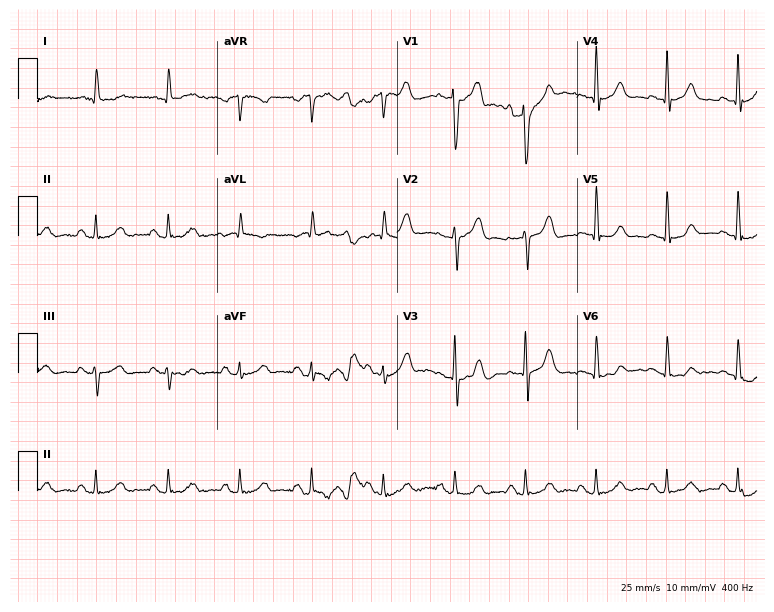
Standard 12-lead ECG recorded from an 80-year-old male (7.3-second recording at 400 Hz). Read as a normal ECG.